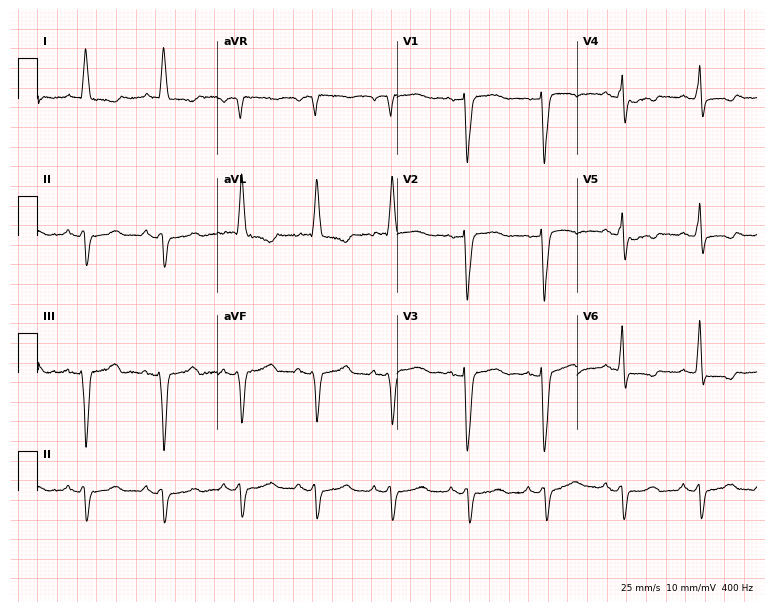
12-lead ECG from a 79-year-old woman (7.3-second recording at 400 Hz). Shows left bundle branch block.